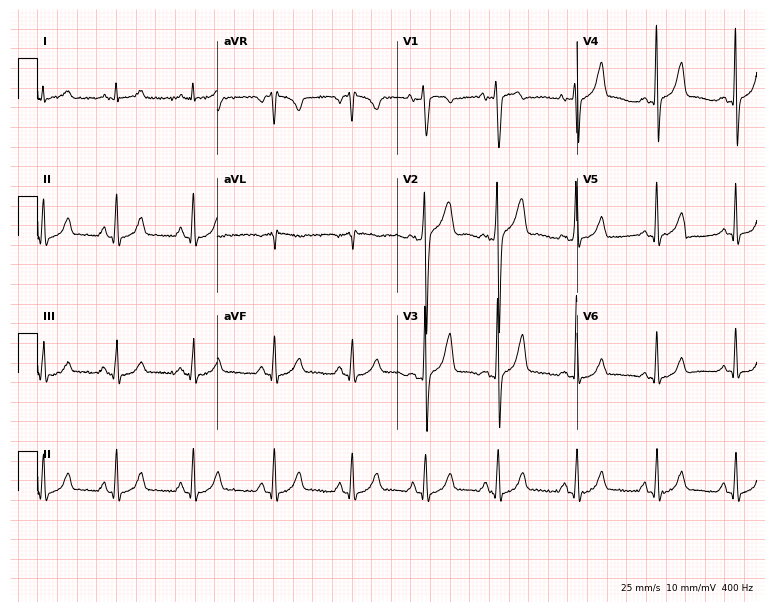
Resting 12-lead electrocardiogram. Patient: a 35-year-old male. Read as a normal ECG.